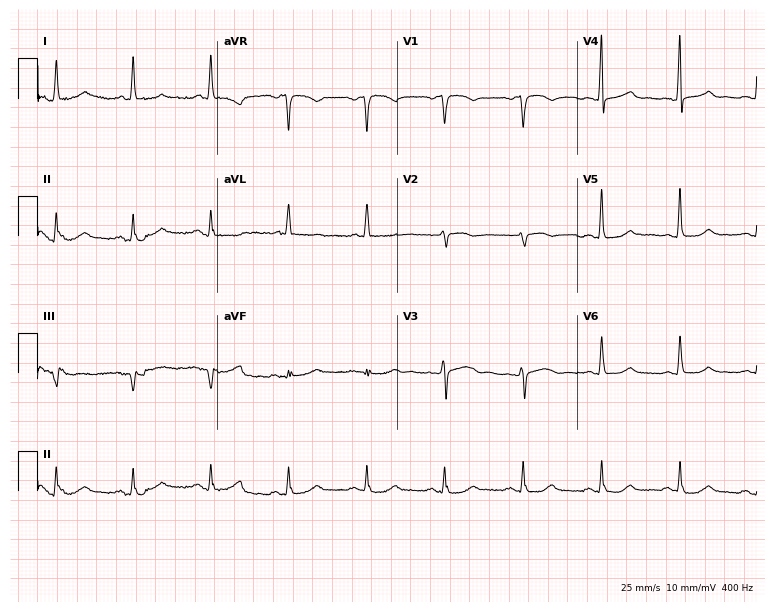
ECG — a 57-year-old female. Screened for six findings — first-degree AV block, right bundle branch block (RBBB), left bundle branch block (LBBB), sinus bradycardia, atrial fibrillation (AF), sinus tachycardia — none is recorded. Findings outside these six are not listed.